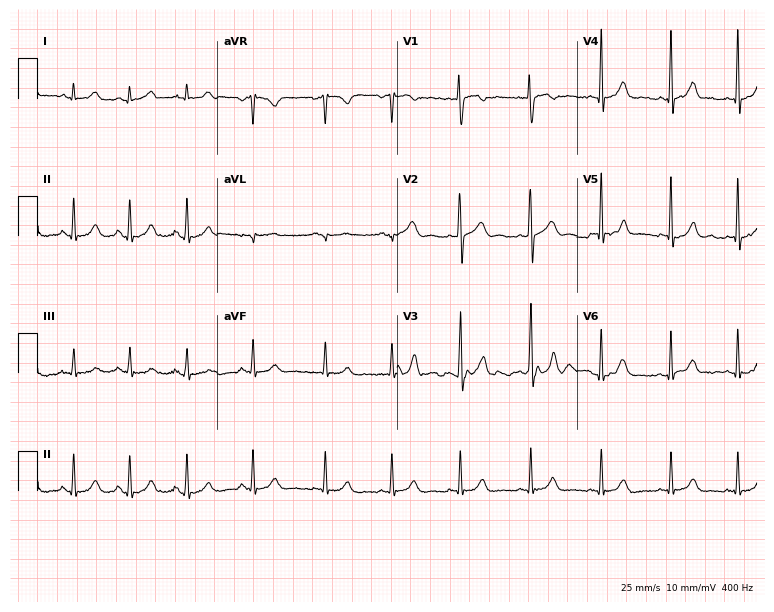
Standard 12-lead ECG recorded from a female patient, 28 years old (7.3-second recording at 400 Hz). Read as a normal ECG.